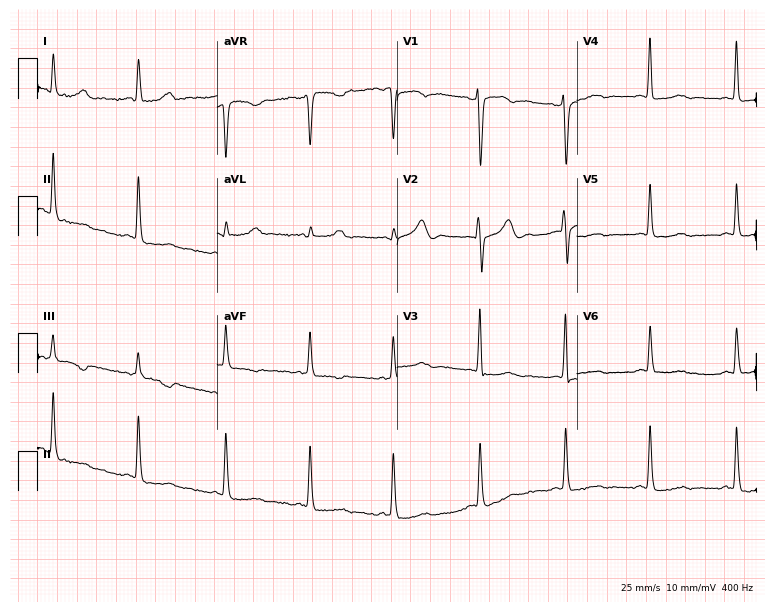
Standard 12-lead ECG recorded from a 26-year-old woman. None of these six findings is recorded: first-degree AV block, right bundle branch block, left bundle branch block, sinus bradycardia, atrial fibrillation, sinus tachycardia.